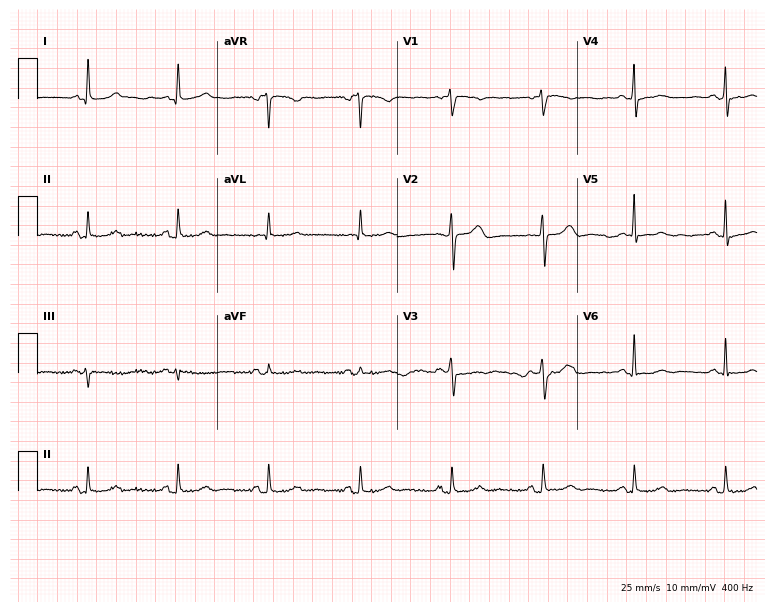
Standard 12-lead ECG recorded from a 76-year-old woman (7.3-second recording at 400 Hz). None of these six findings is recorded: first-degree AV block, right bundle branch block, left bundle branch block, sinus bradycardia, atrial fibrillation, sinus tachycardia. Only these six findings were labelled.